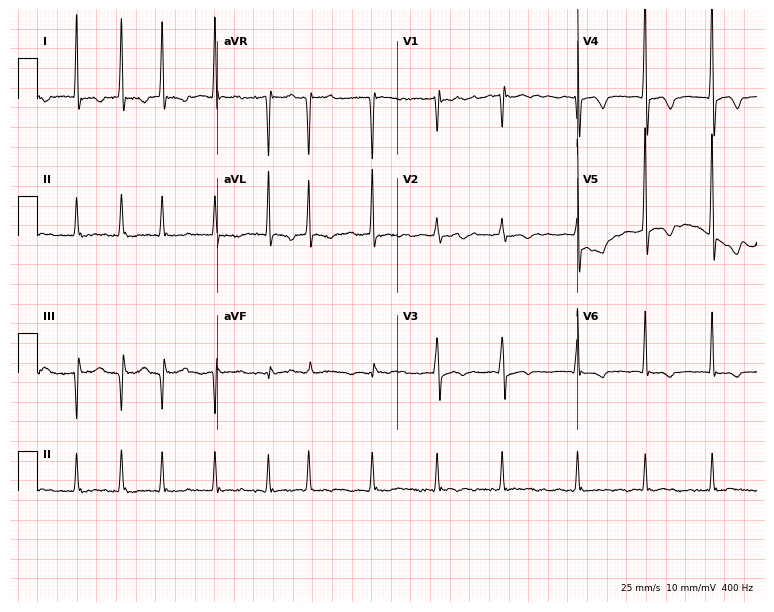
12-lead ECG from a 74-year-old female. Findings include atrial fibrillation.